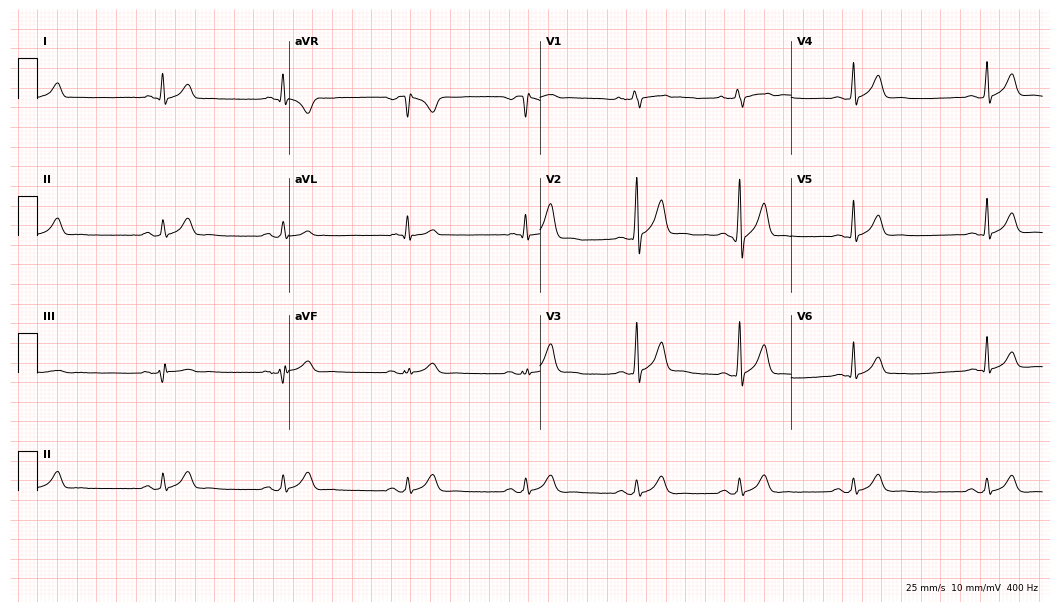
ECG — a man, 31 years old. Findings include sinus bradycardia (a sinus rate of 50 beats per minute or less).